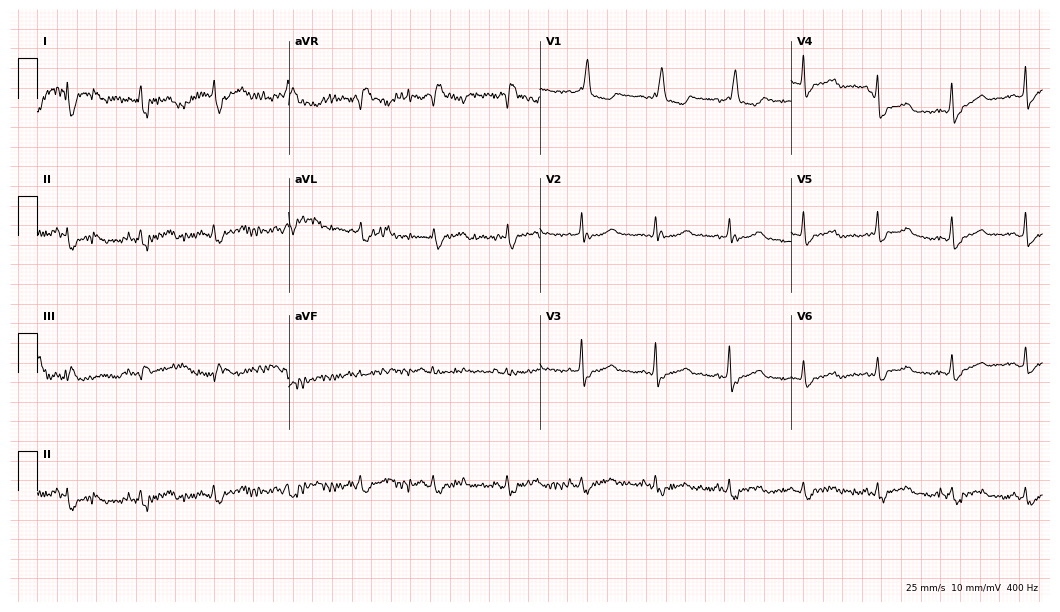
Standard 12-lead ECG recorded from a 70-year-old female patient. The tracing shows right bundle branch block (RBBB).